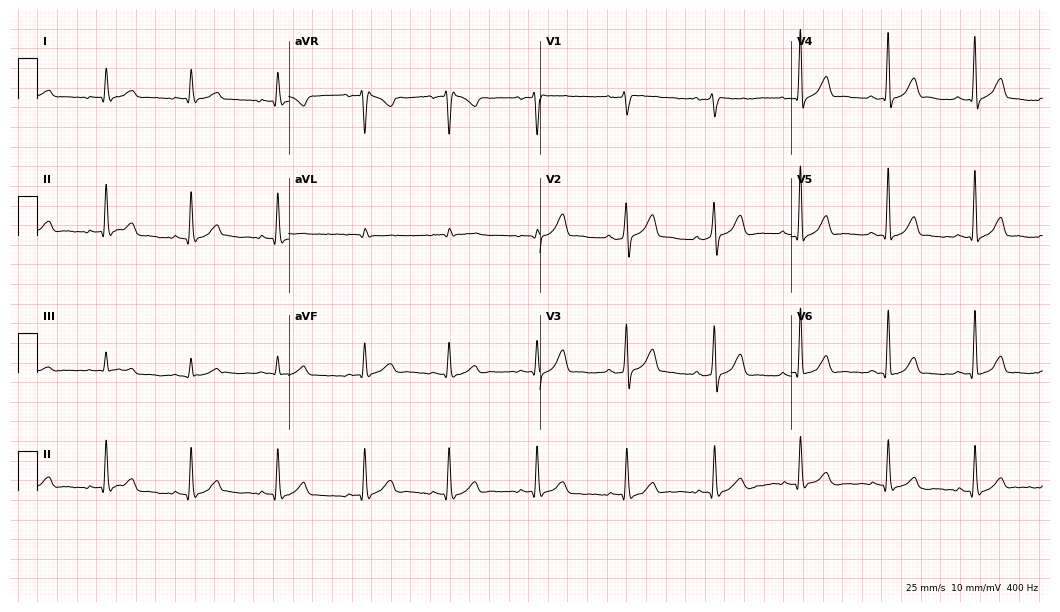
Resting 12-lead electrocardiogram. Patient: a male, 32 years old. None of these six findings is recorded: first-degree AV block, right bundle branch block, left bundle branch block, sinus bradycardia, atrial fibrillation, sinus tachycardia.